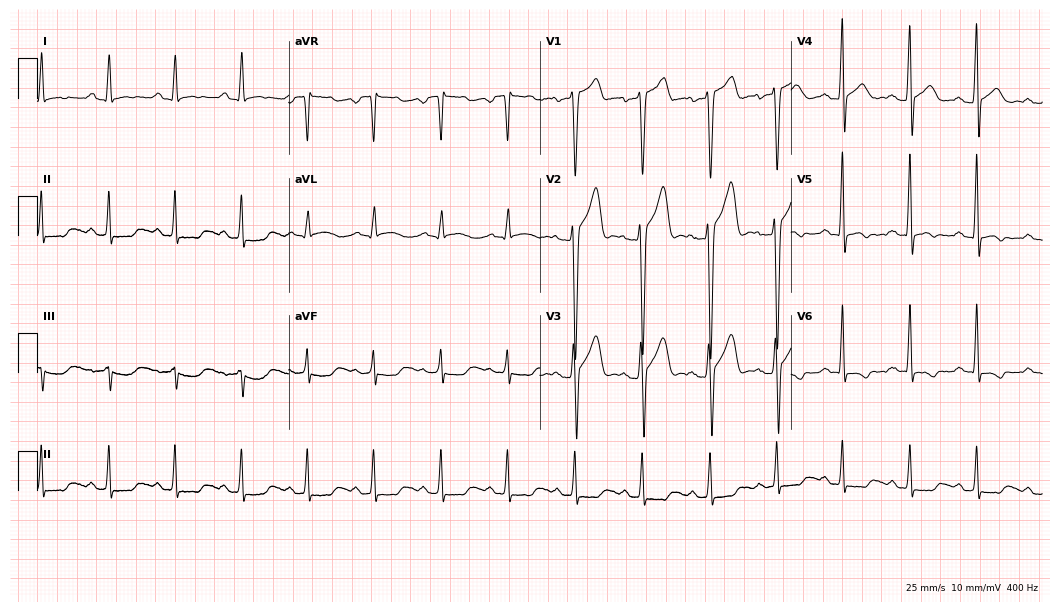
Standard 12-lead ECG recorded from a 29-year-old man. None of these six findings is recorded: first-degree AV block, right bundle branch block (RBBB), left bundle branch block (LBBB), sinus bradycardia, atrial fibrillation (AF), sinus tachycardia. Other findings, if any, are not listed.